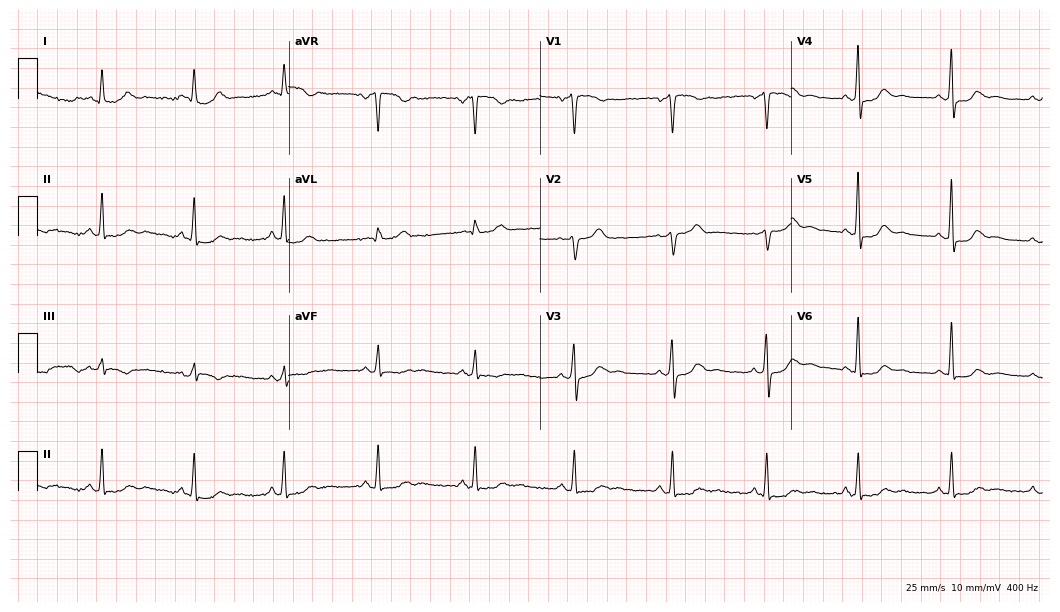
12-lead ECG from a 54-year-old female. Screened for six findings — first-degree AV block, right bundle branch block (RBBB), left bundle branch block (LBBB), sinus bradycardia, atrial fibrillation (AF), sinus tachycardia — none is recorded. Findings outside these six are not listed.